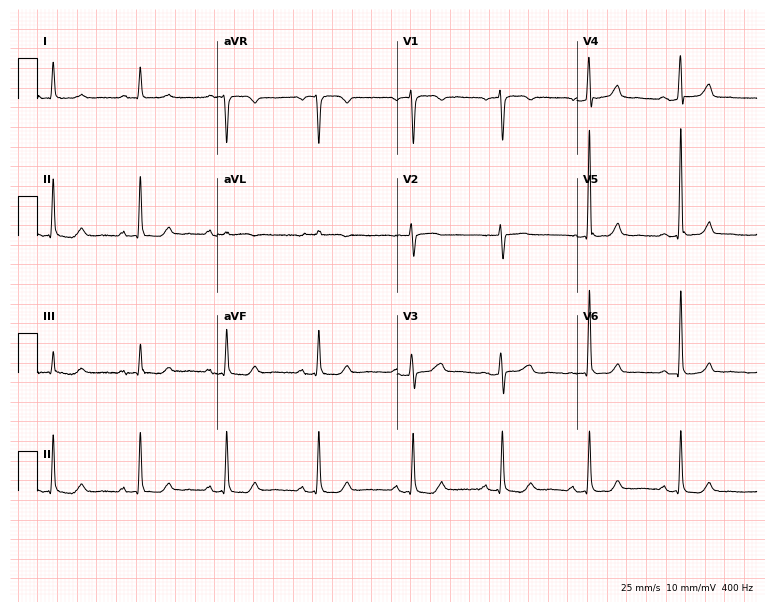
Resting 12-lead electrocardiogram. Patient: a 68-year-old female. None of these six findings is recorded: first-degree AV block, right bundle branch block, left bundle branch block, sinus bradycardia, atrial fibrillation, sinus tachycardia.